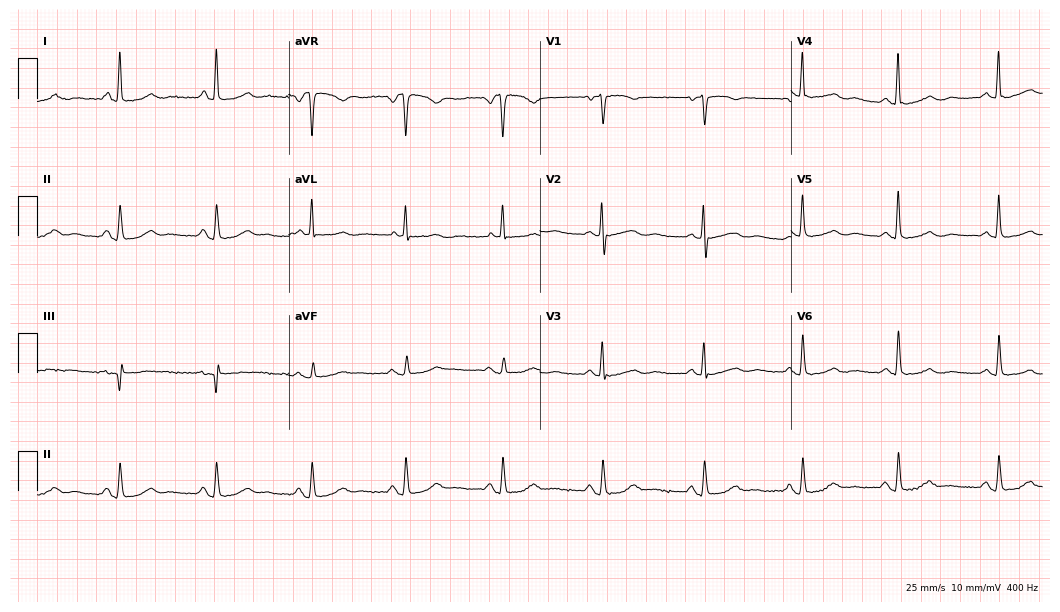
12-lead ECG from a 71-year-old woman. No first-degree AV block, right bundle branch block, left bundle branch block, sinus bradycardia, atrial fibrillation or sinus tachycardia recorded for this tracing. Other findings, if any, are not listed.